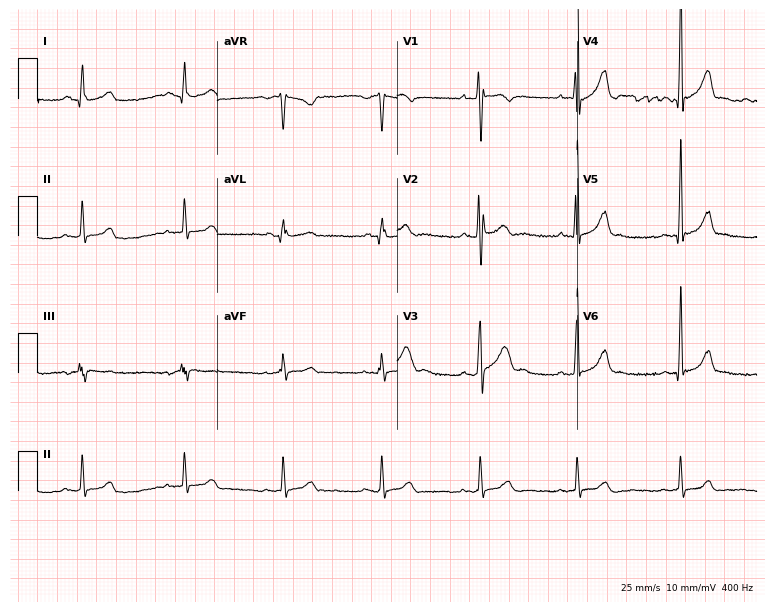
12-lead ECG (7.3-second recording at 400 Hz) from a man, 19 years old. Labelled as a normal ECG.